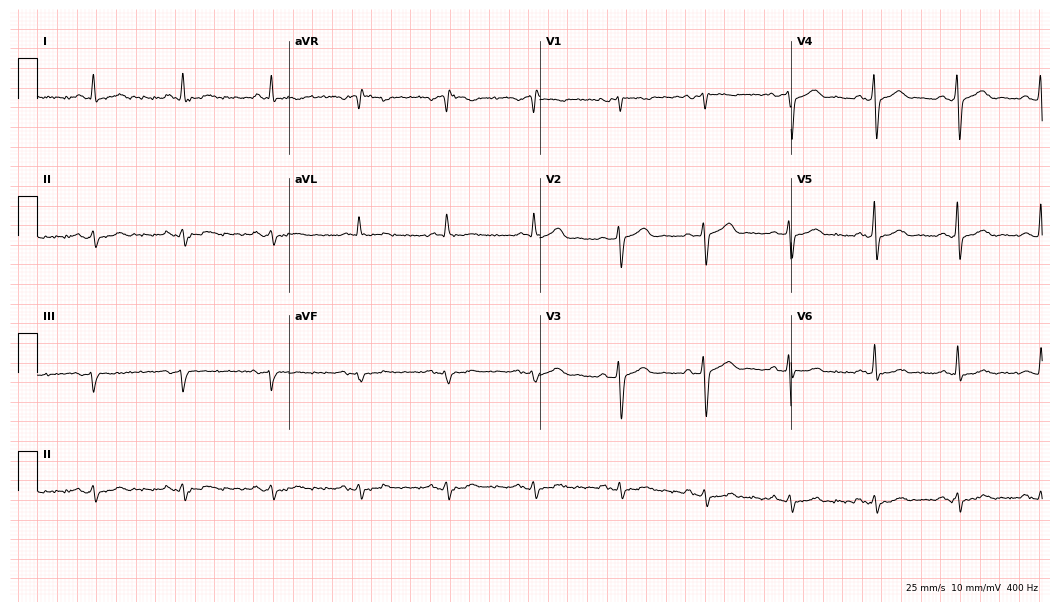
ECG — a 64-year-old male patient. Screened for six findings — first-degree AV block, right bundle branch block (RBBB), left bundle branch block (LBBB), sinus bradycardia, atrial fibrillation (AF), sinus tachycardia — none is recorded. Only these six findings were labelled.